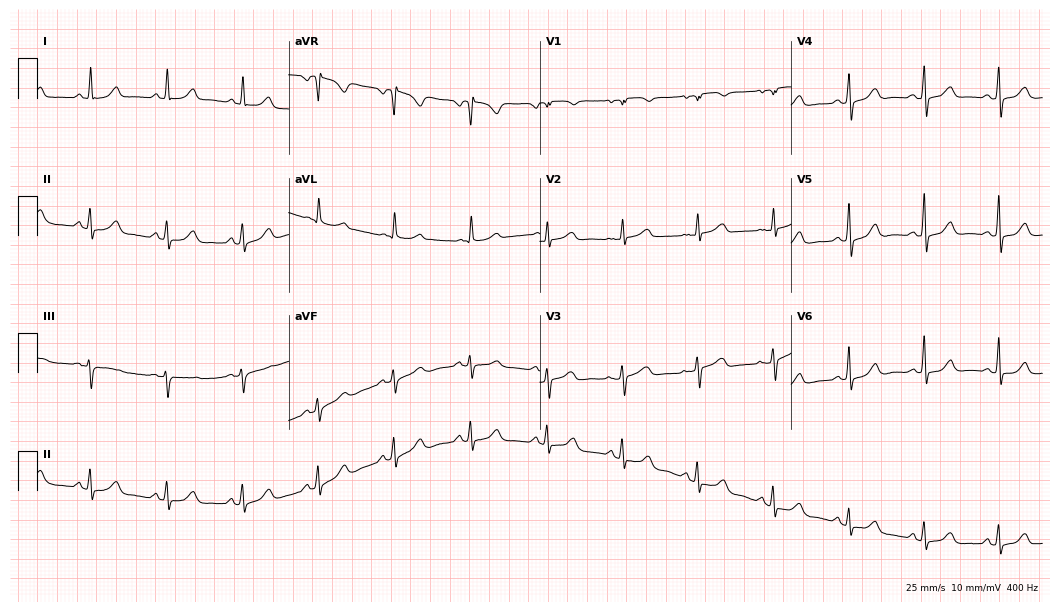
ECG (10.2-second recording at 400 Hz) — a female patient, 67 years old. Labelled as a normal ECG.